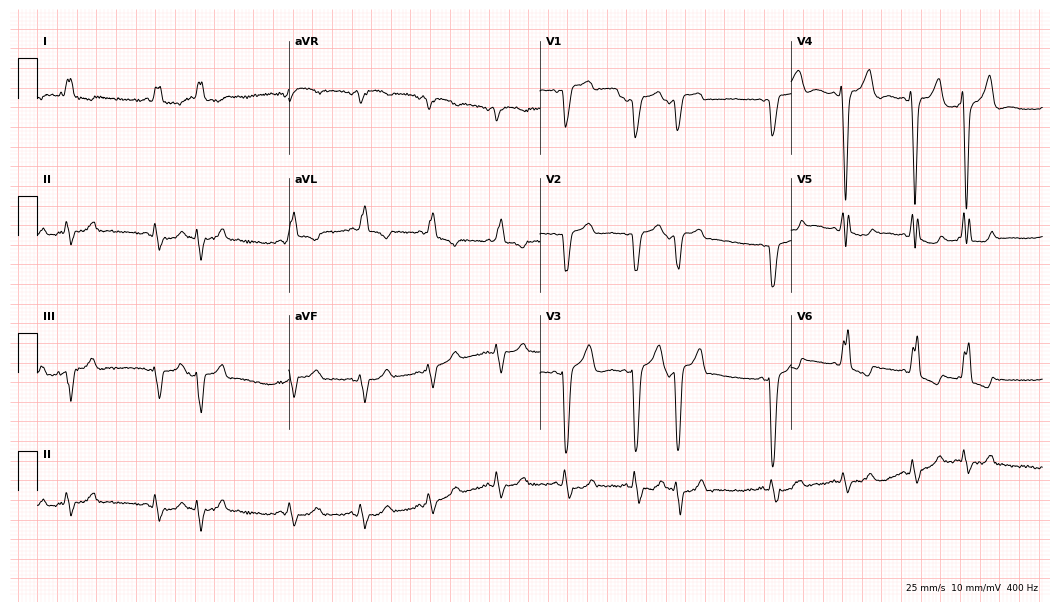
Resting 12-lead electrocardiogram (10.2-second recording at 400 Hz). Patient: a woman, 78 years old. The tracing shows left bundle branch block.